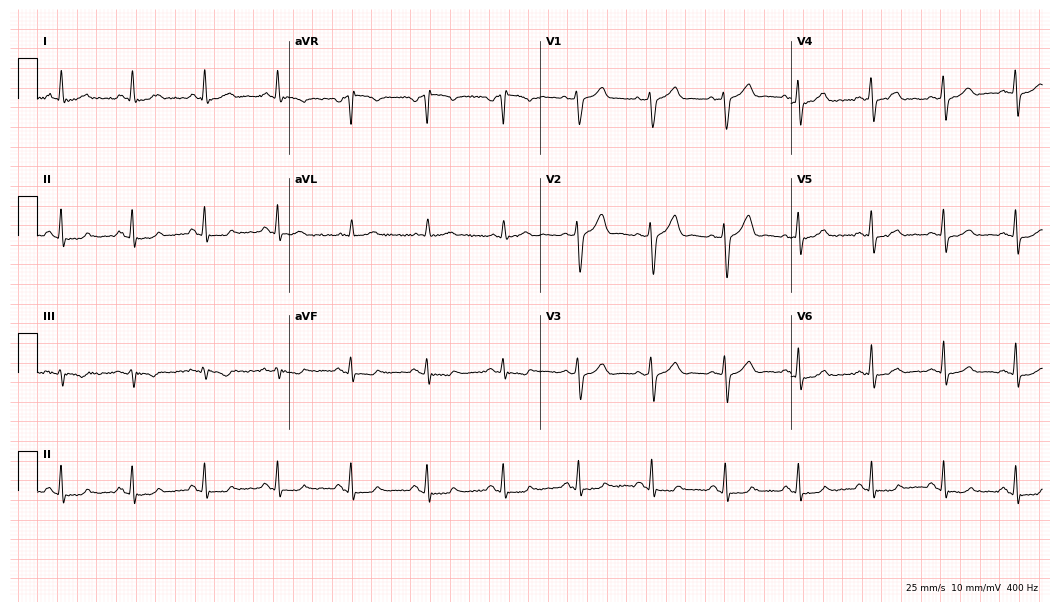
Standard 12-lead ECG recorded from a 51-year-old male patient (10.2-second recording at 400 Hz). None of these six findings is recorded: first-degree AV block, right bundle branch block (RBBB), left bundle branch block (LBBB), sinus bradycardia, atrial fibrillation (AF), sinus tachycardia. Other findings, if any, are not listed.